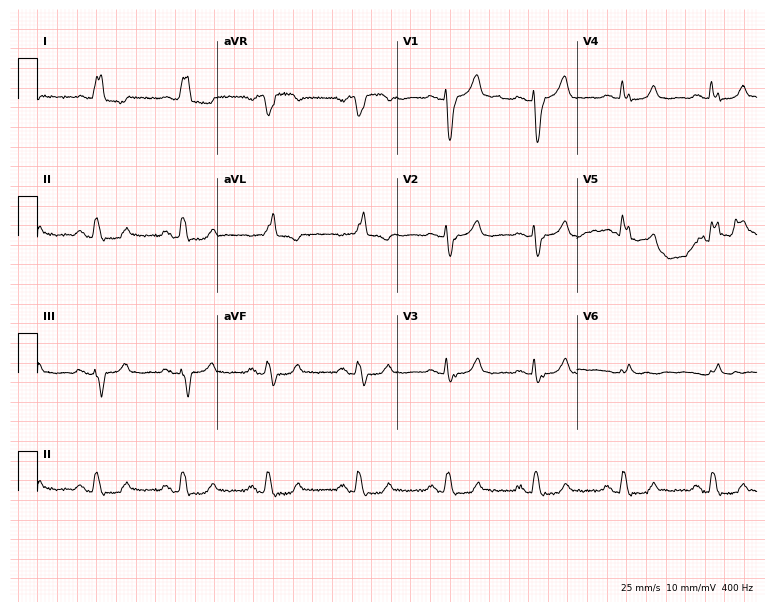
12-lead ECG from a female patient, 85 years old. Shows left bundle branch block.